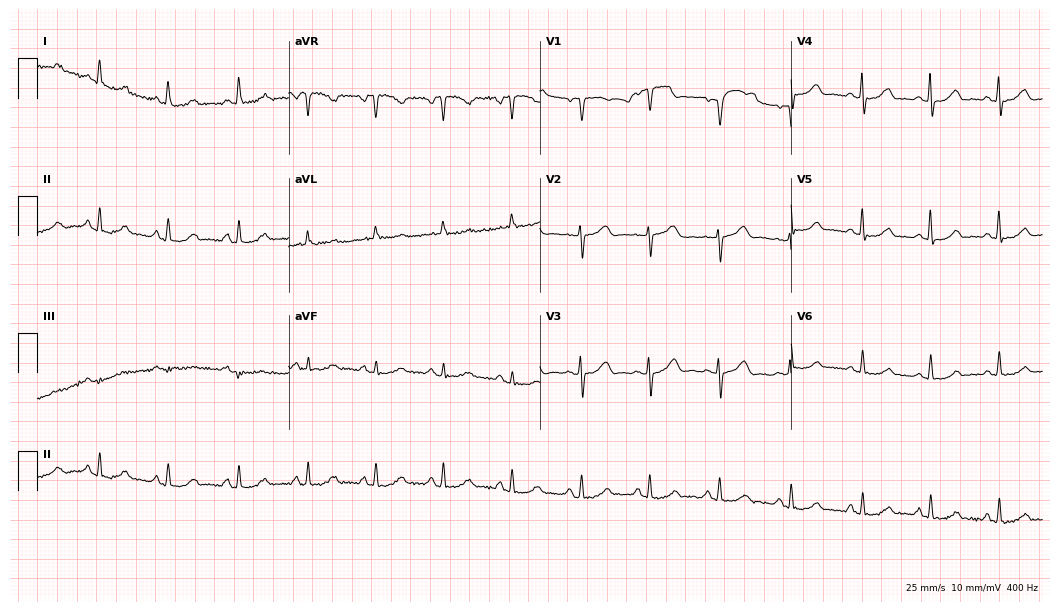
Electrocardiogram, a female, 59 years old. Overall reading on record: normal ECG.